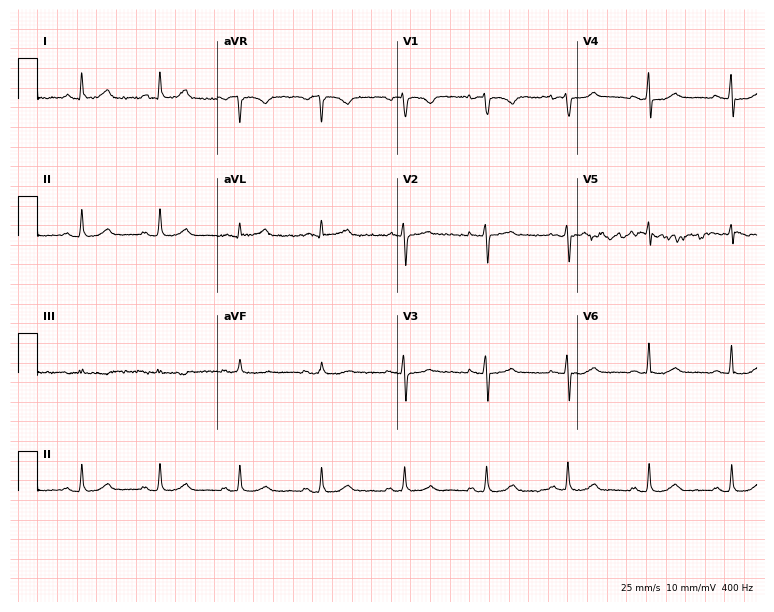
12-lead ECG from a woman, 64 years old. Recorded interpretation: within normal limits.